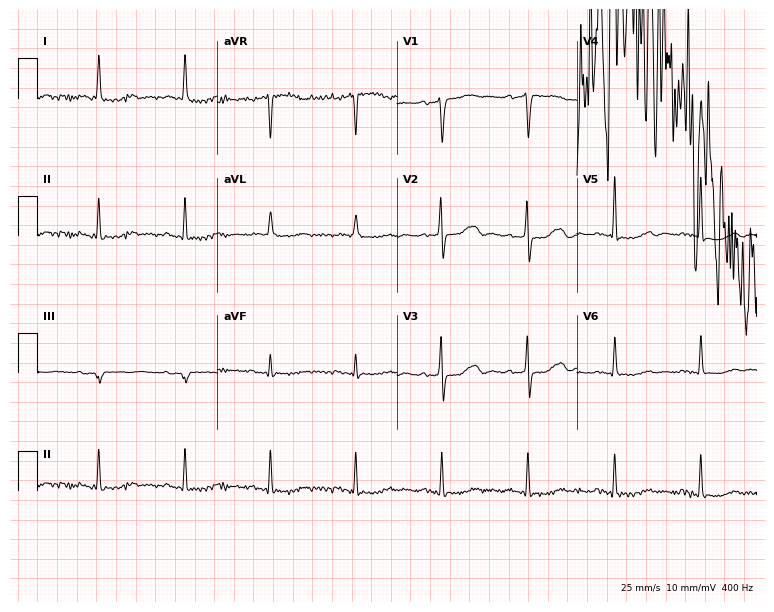
Standard 12-lead ECG recorded from a woman, 83 years old. None of these six findings is recorded: first-degree AV block, right bundle branch block (RBBB), left bundle branch block (LBBB), sinus bradycardia, atrial fibrillation (AF), sinus tachycardia. Only these six findings were labelled.